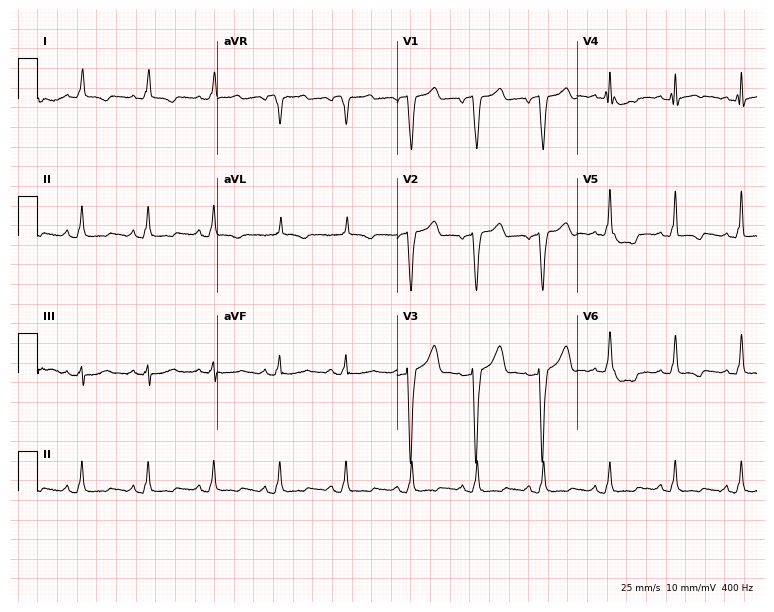
12-lead ECG from an 85-year-old man. No first-degree AV block, right bundle branch block, left bundle branch block, sinus bradycardia, atrial fibrillation or sinus tachycardia recorded for this tracing.